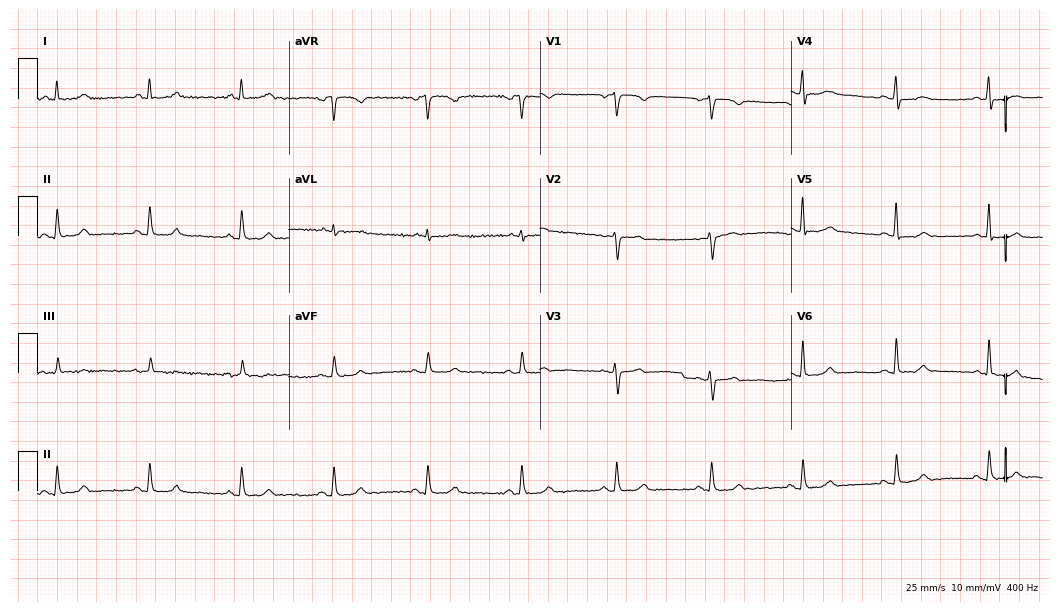
12-lead ECG (10.2-second recording at 400 Hz) from a female, 57 years old. Screened for six findings — first-degree AV block, right bundle branch block, left bundle branch block, sinus bradycardia, atrial fibrillation, sinus tachycardia — none is recorded. Only these six findings were labelled.